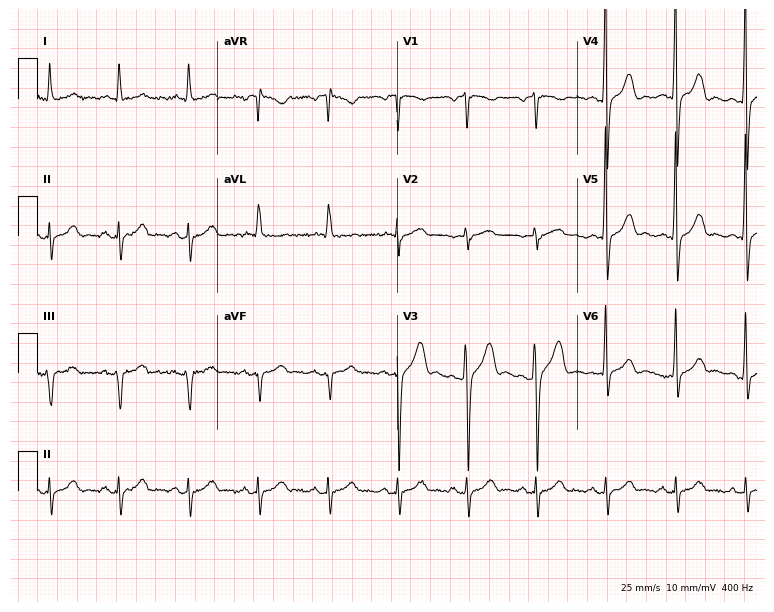
ECG — a 45-year-old male patient. Labelled as a normal ECG.